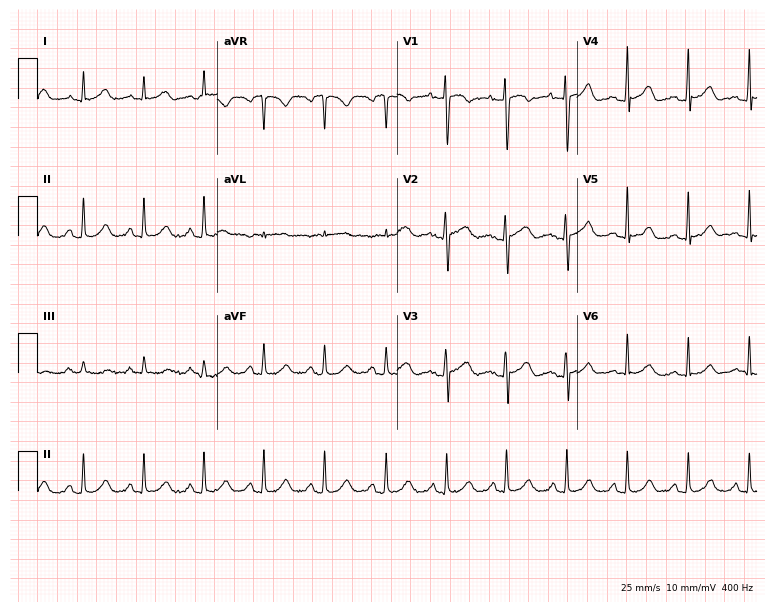
Electrocardiogram, a female patient, 37 years old. Overall reading on record: normal ECG.